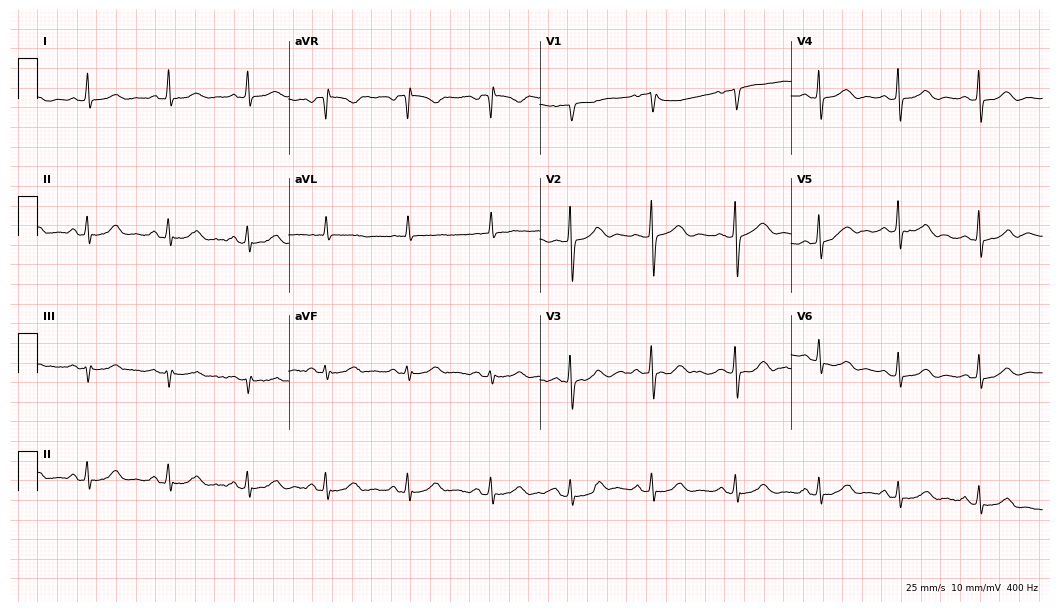
Standard 12-lead ECG recorded from a 59-year-old woman (10.2-second recording at 400 Hz). Read as a normal ECG.